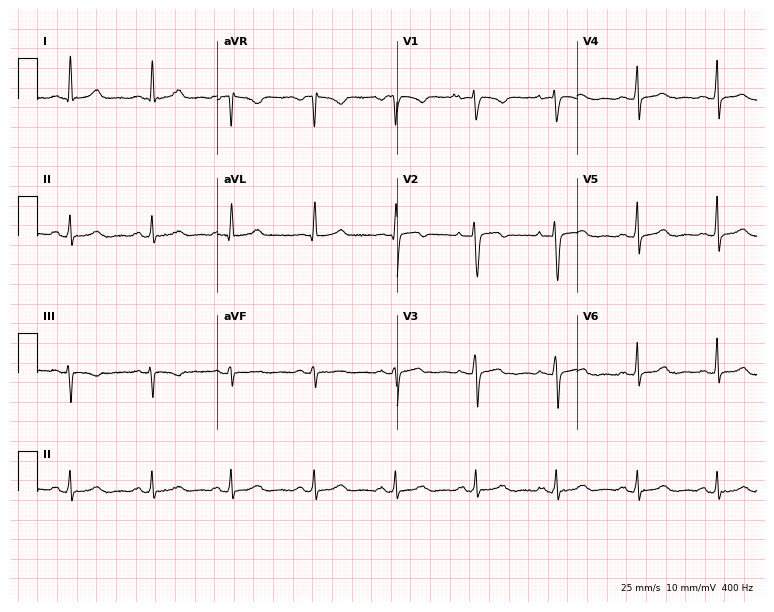
12-lead ECG from a woman, 37 years old. Recorded interpretation: within normal limits.